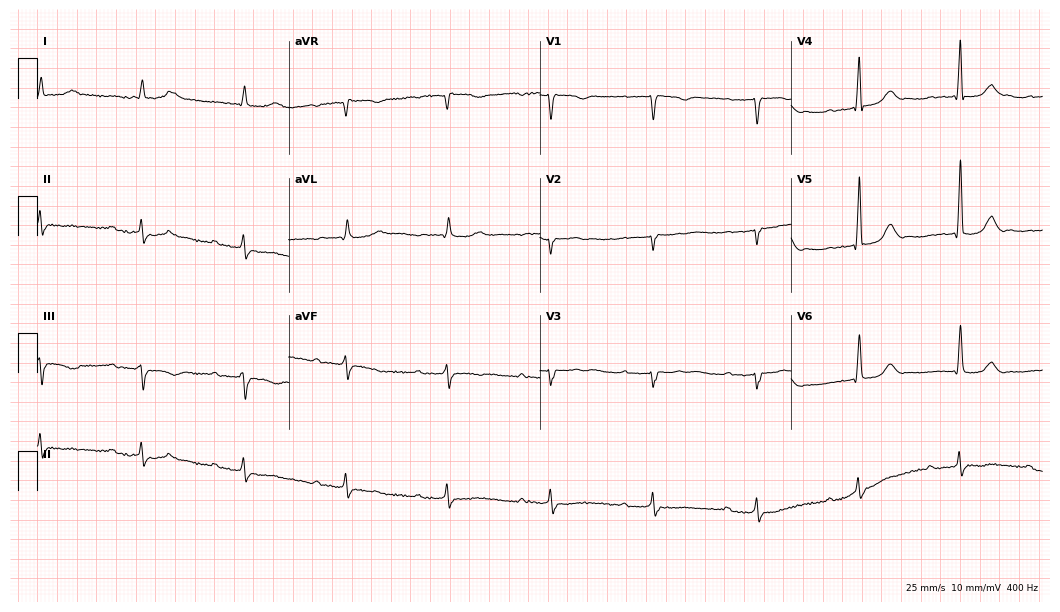
12-lead ECG from a man, 83 years old (10.2-second recording at 400 Hz). No first-degree AV block, right bundle branch block (RBBB), left bundle branch block (LBBB), sinus bradycardia, atrial fibrillation (AF) or sinus tachycardia recorded for this tracing. Only these six findings were labelled.